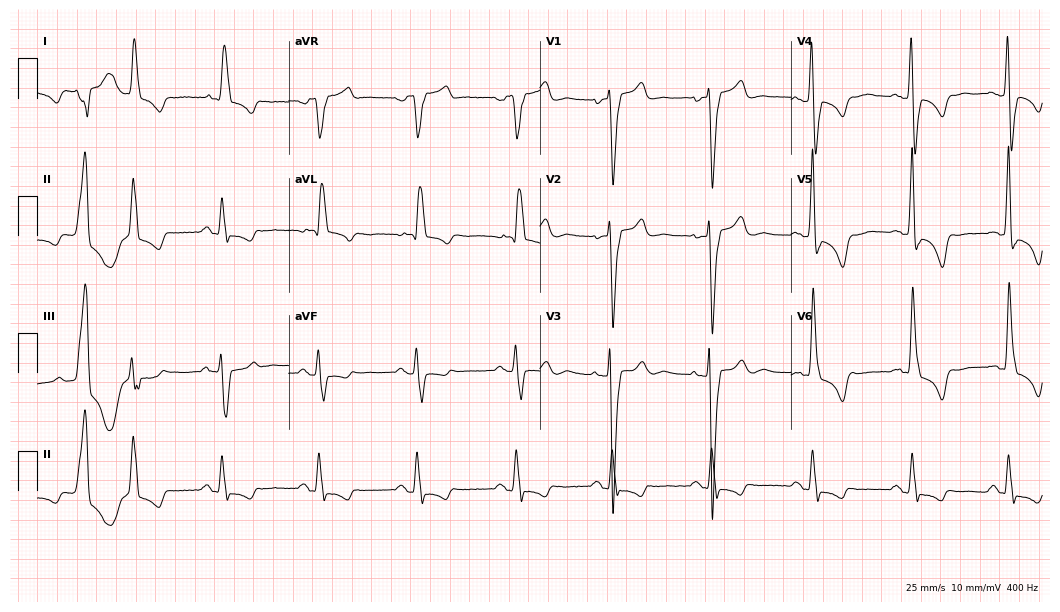
12-lead ECG from a woman, 79 years old. Findings include left bundle branch block.